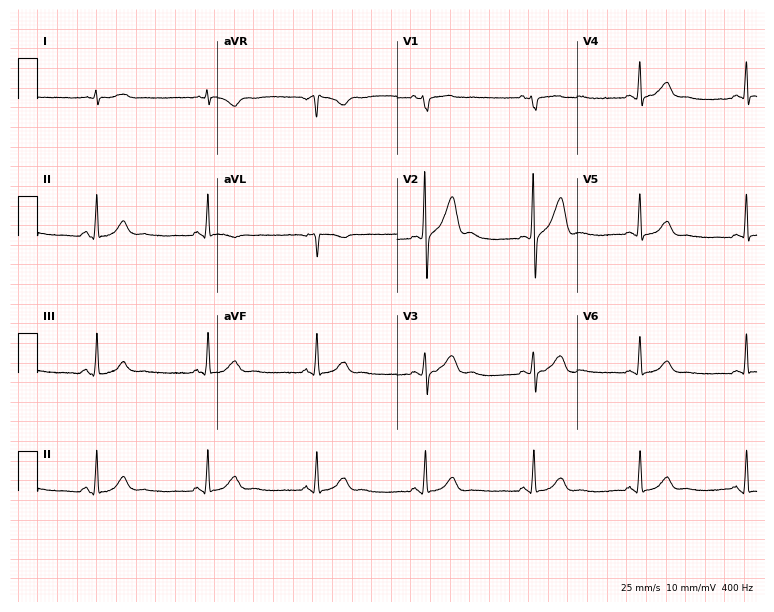
Resting 12-lead electrocardiogram. Patient: a 66-year-old man. Read as a normal ECG.